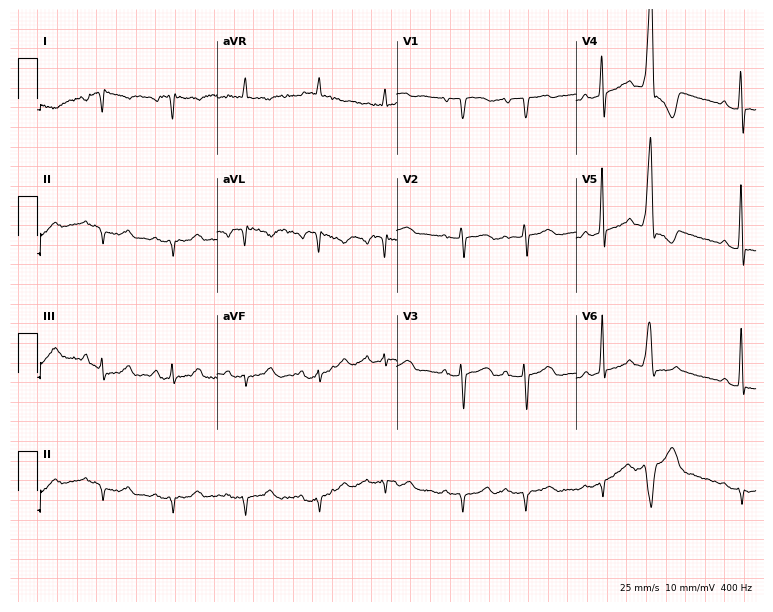
ECG — a 77-year-old woman. Screened for six findings — first-degree AV block, right bundle branch block (RBBB), left bundle branch block (LBBB), sinus bradycardia, atrial fibrillation (AF), sinus tachycardia — none is recorded. Other findings, if any, are not listed.